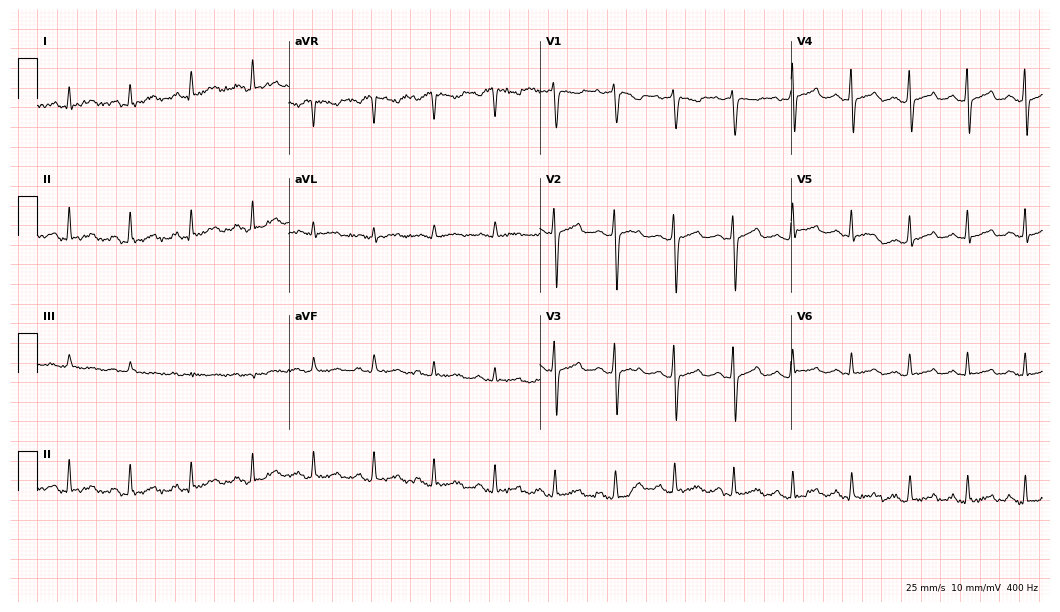
Standard 12-lead ECG recorded from a 78-year-old female patient (10.2-second recording at 400 Hz). Read as a normal ECG.